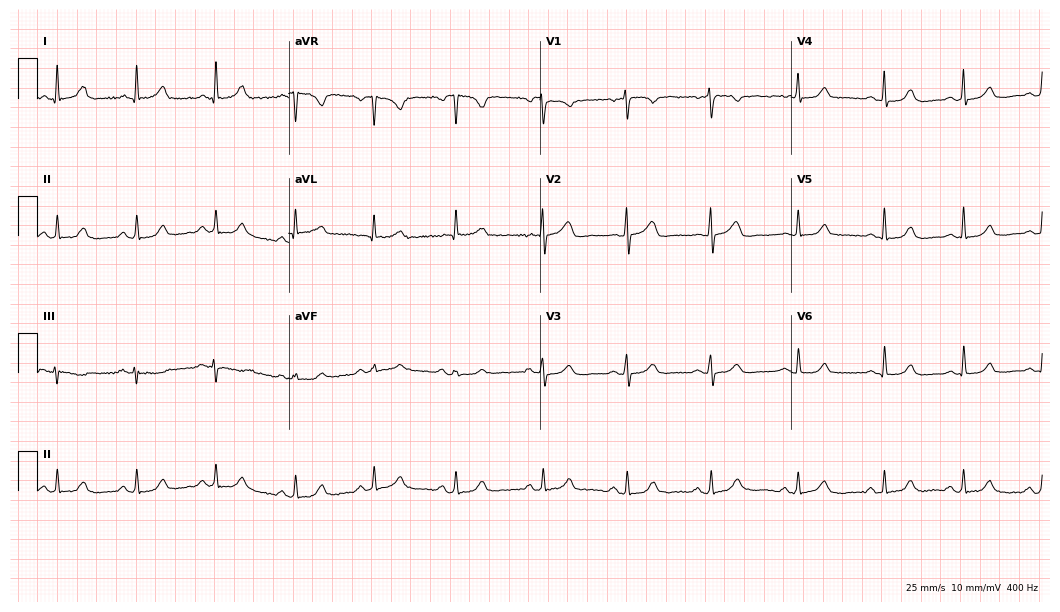
ECG — a female, 37 years old. Labelled as a normal ECG.